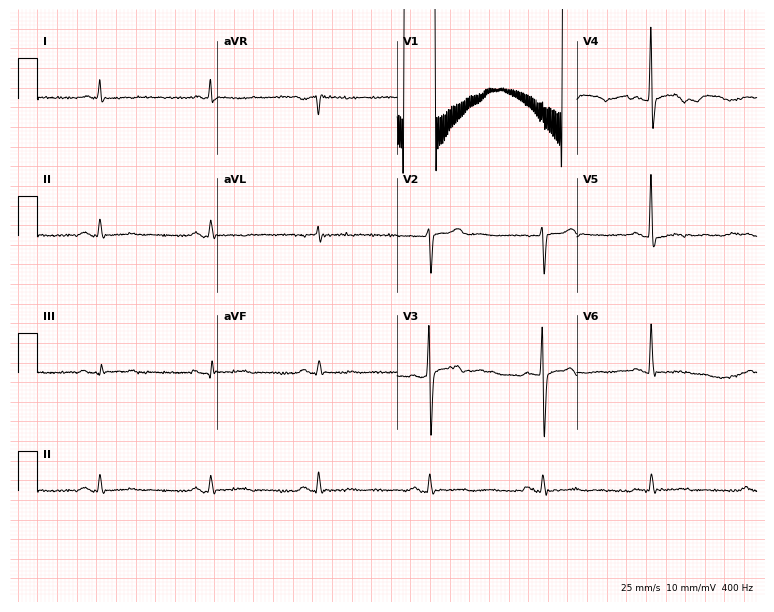
12-lead ECG from a 59-year-old male. No first-degree AV block, right bundle branch block, left bundle branch block, sinus bradycardia, atrial fibrillation or sinus tachycardia recorded for this tracing.